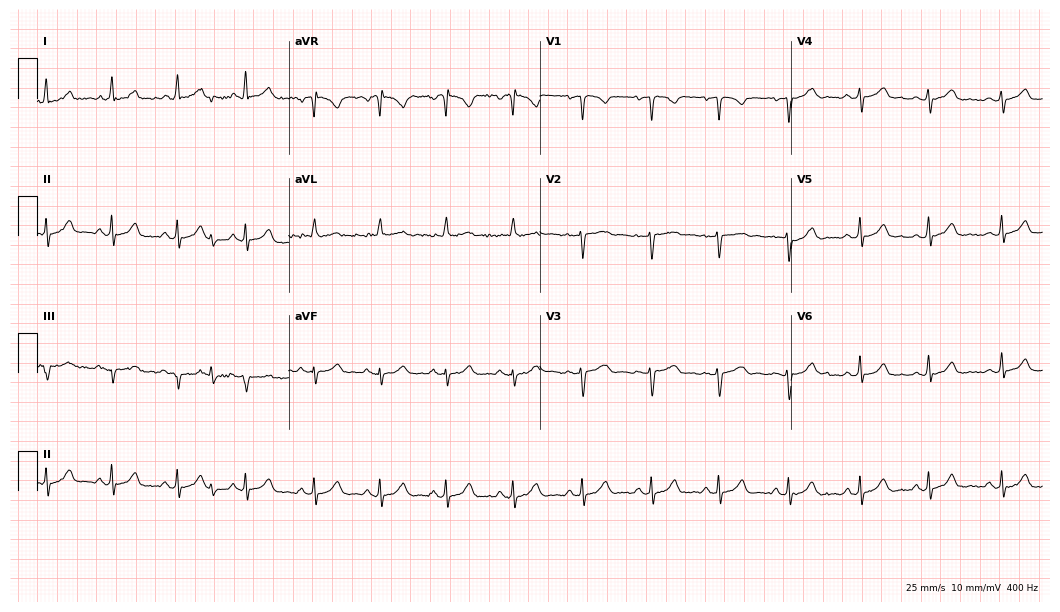
Resting 12-lead electrocardiogram (10.2-second recording at 400 Hz). Patient: a 32-year-old woman. None of these six findings is recorded: first-degree AV block, right bundle branch block, left bundle branch block, sinus bradycardia, atrial fibrillation, sinus tachycardia.